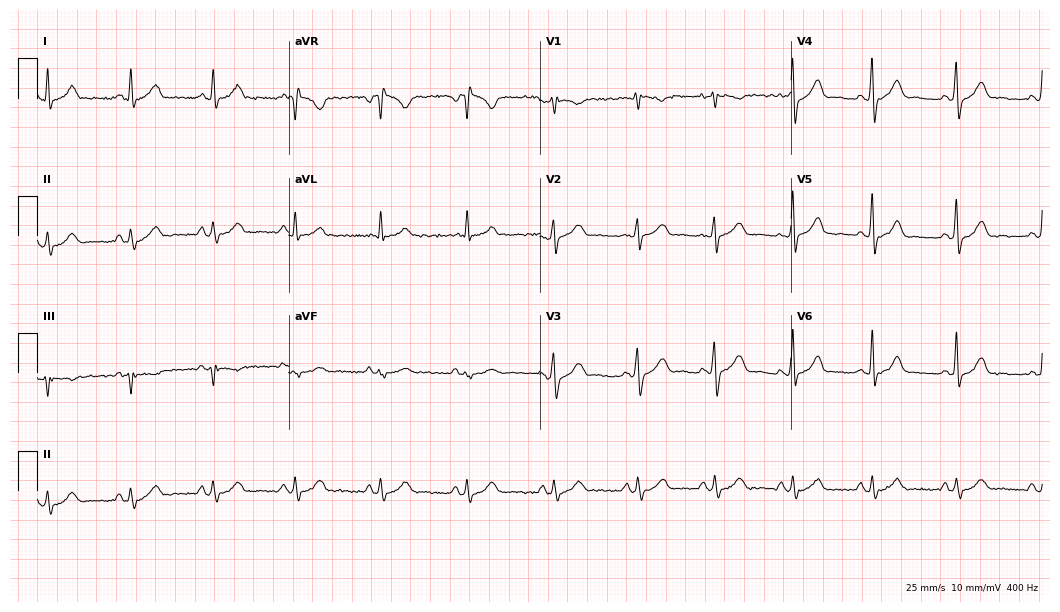
12-lead ECG from a 37-year-old male (10.2-second recording at 400 Hz). Recorded interpretation: within normal limits.